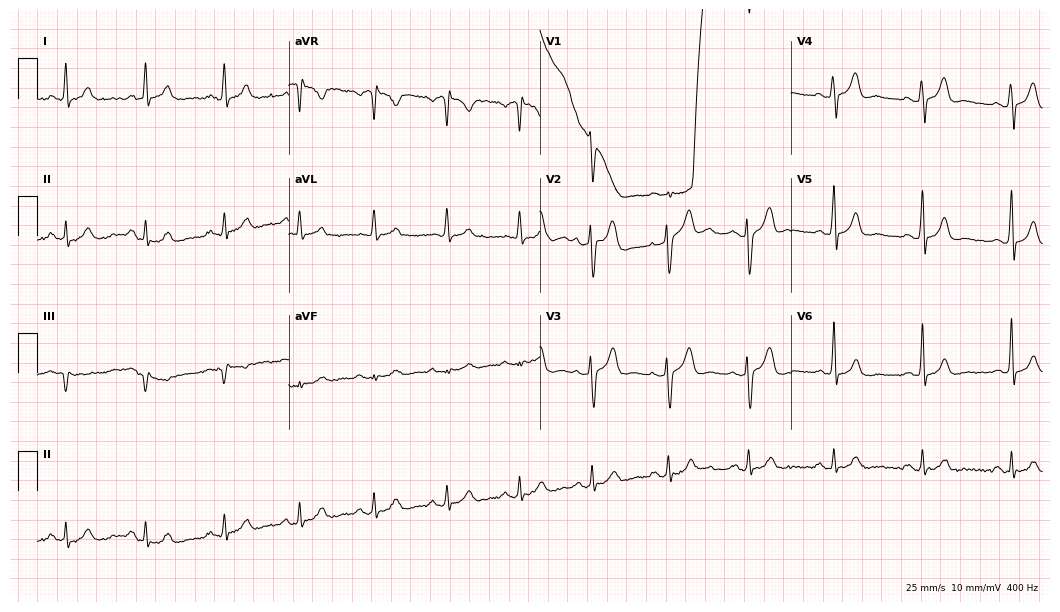
12-lead ECG from a female, 41 years old (10.2-second recording at 400 Hz). Recorded interpretation: within normal limits.